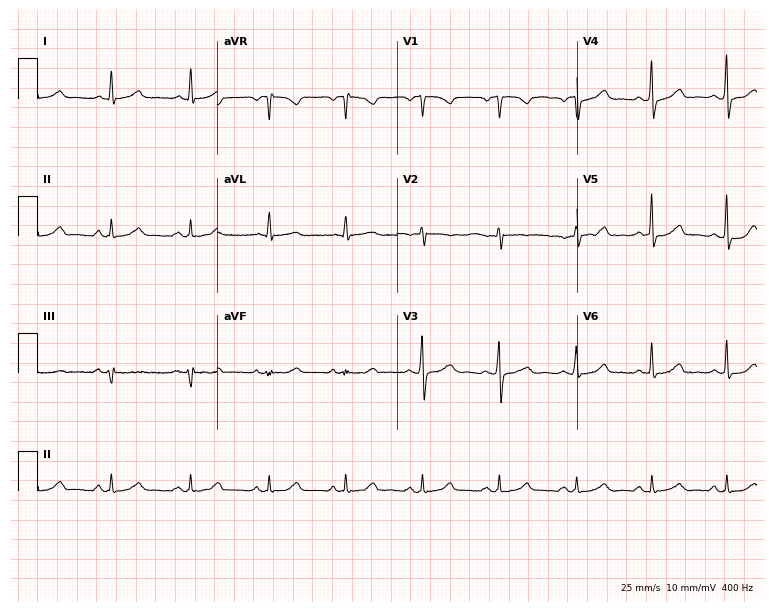
Standard 12-lead ECG recorded from a female patient, 51 years old. Read as a normal ECG.